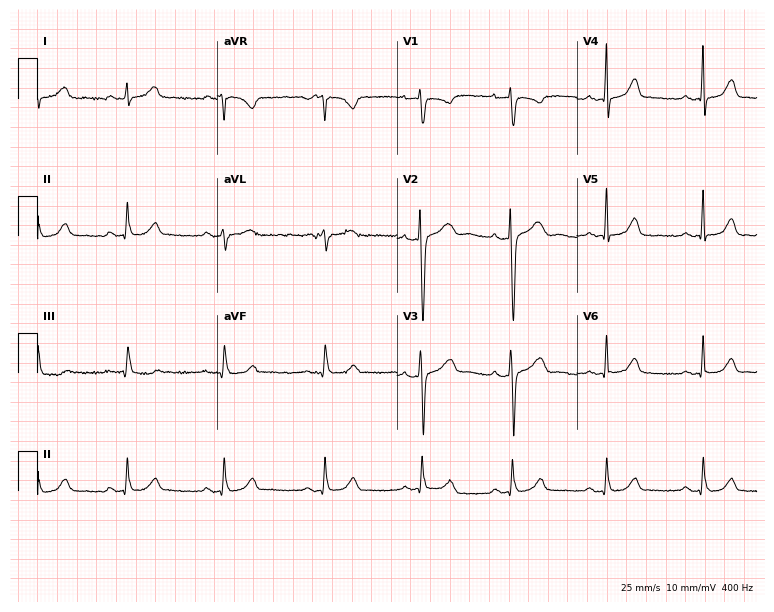
Standard 12-lead ECG recorded from a 35-year-old female. Read as a normal ECG.